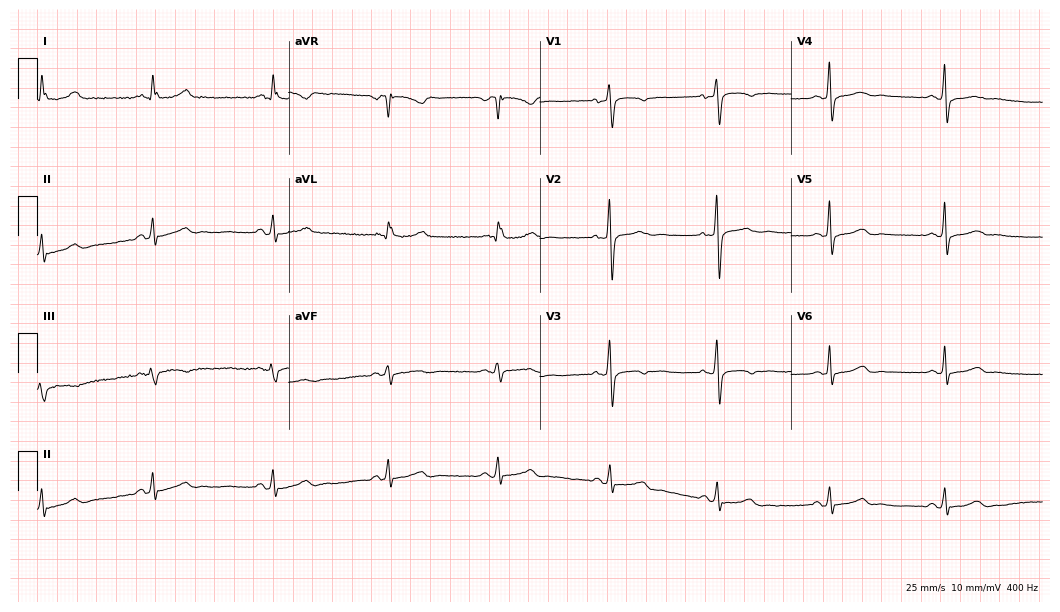
Standard 12-lead ECG recorded from a female patient, 63 years old. None of these six findings is recorded: first-degree AV block, right bundle branch block, left bundle branch block, sinus bradycardia, atrial fibrillation, sinus tachycardia.